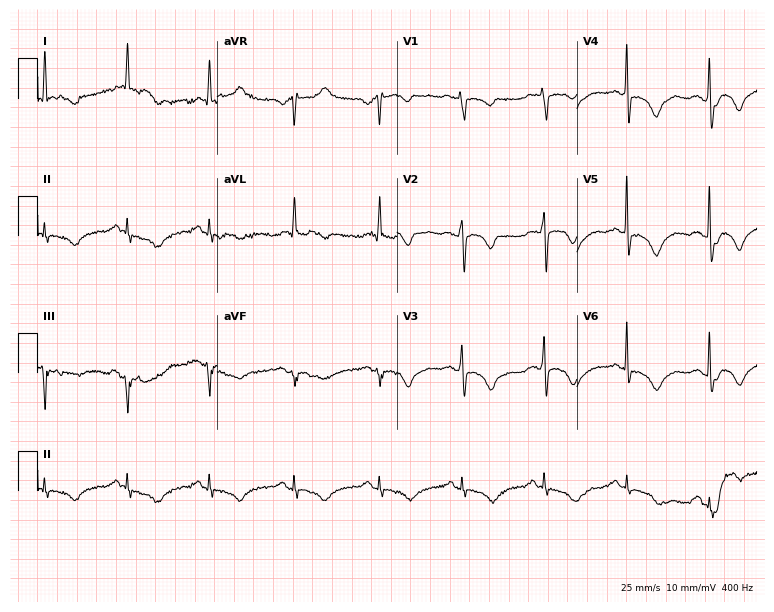
Resting 12-lead electrocardiogram (7.3-second recording at 400 Hz). Patient: a woman, 77 years old. None of these six findings is recorded: first-degree AV block, right bundle branch block, left bundle branch block, sinus bradycardia, atrial fibrillation, sinus tachycardia. Other findings, if any, are not listed.